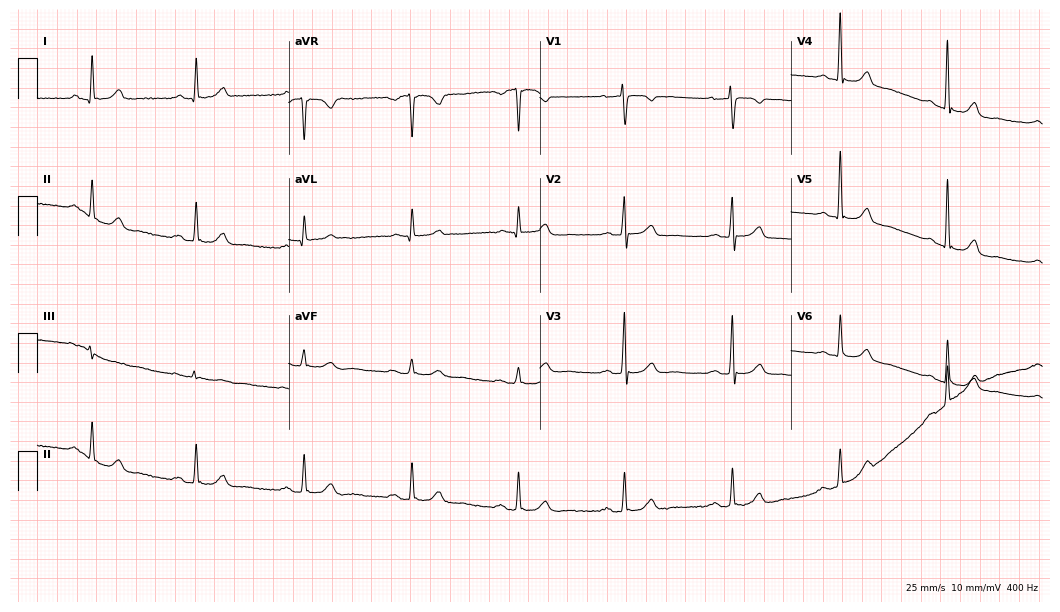
12-lead ECG from a woman, 64 years old (10.2-second recording at 400 Hz). Recorded interpretation: within normal limits.